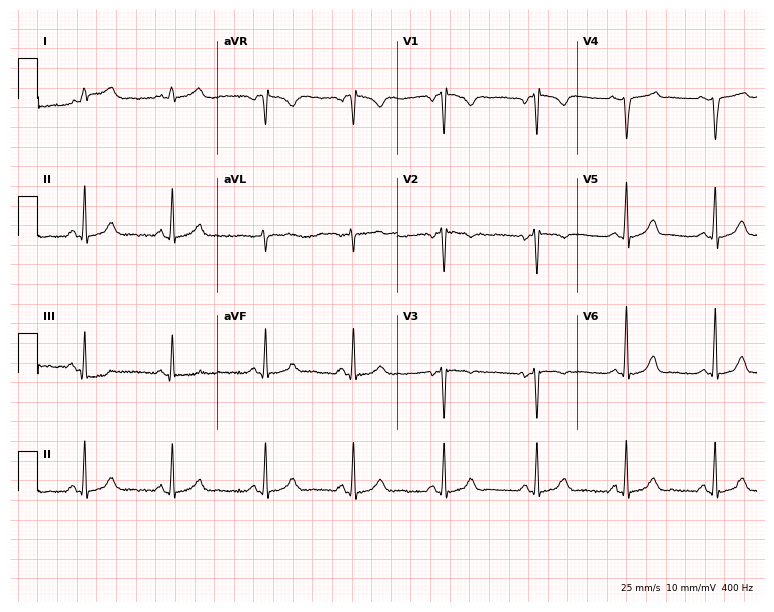
Resting 12-lead electrocardiogram. Patient: a female, 32 years old. None of these six findings is recorded: first-degree AV block, right bundle branch block, left bundle branch block, sinus bradycardia, atrial fibrillation, sinus tachycardia.